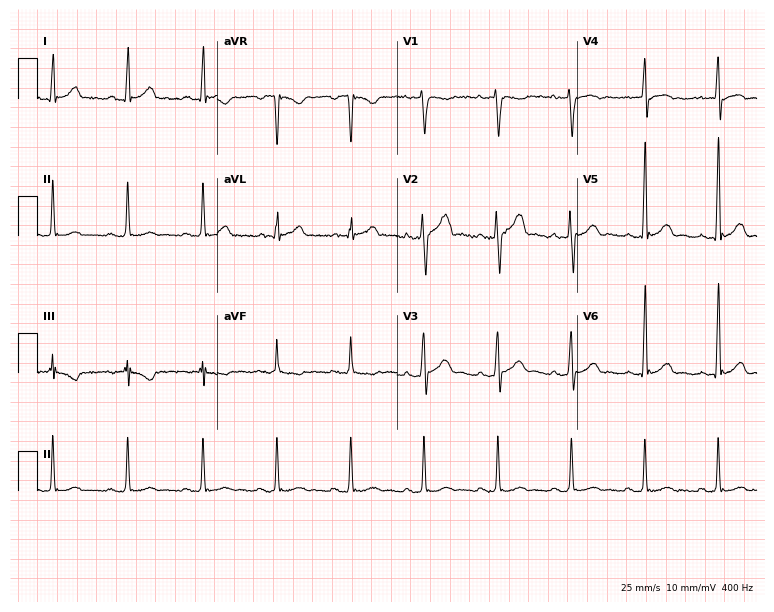
ECG (7.3-second recording at 400 Hz) — a 37-year-old male patient. Labelled as a normal ECG.